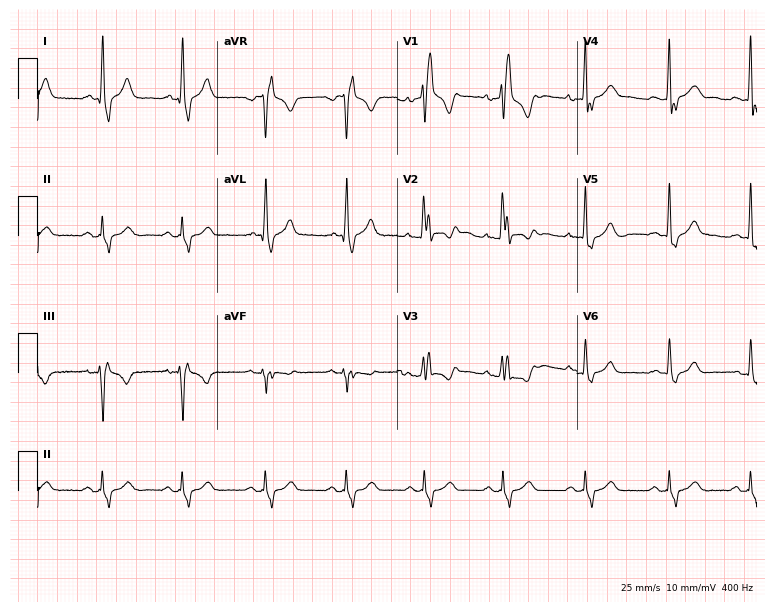
12-lead ECG from a male patient, 28 years old (7.3-second recording at 400 Hz). Shows right bundle branch block.